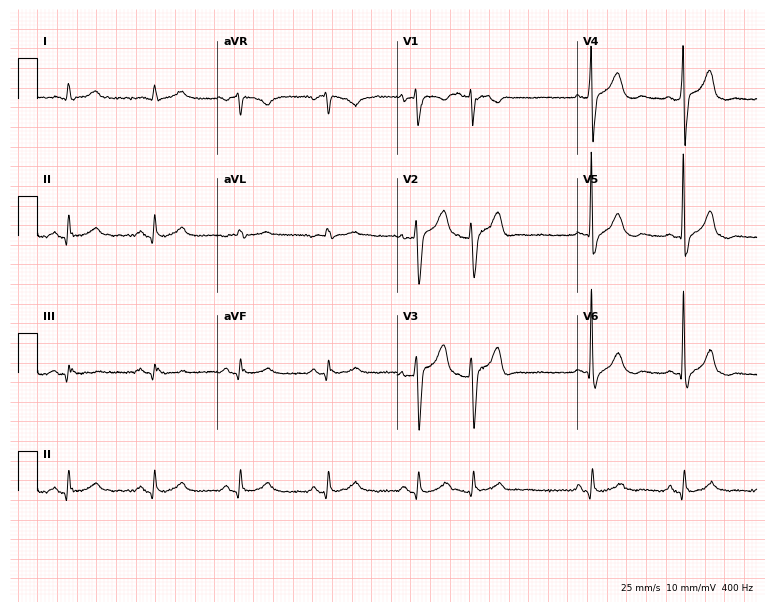
12-lead ECG (7.3-second recording at 400 Hz) from a 58-year-old male patient. Screened for six findings — first-degree AV block, right bundle branch block, left bundle branch block, sinus bradycardia, atrial fibrillation, sinus tachycardia — none is recorded.